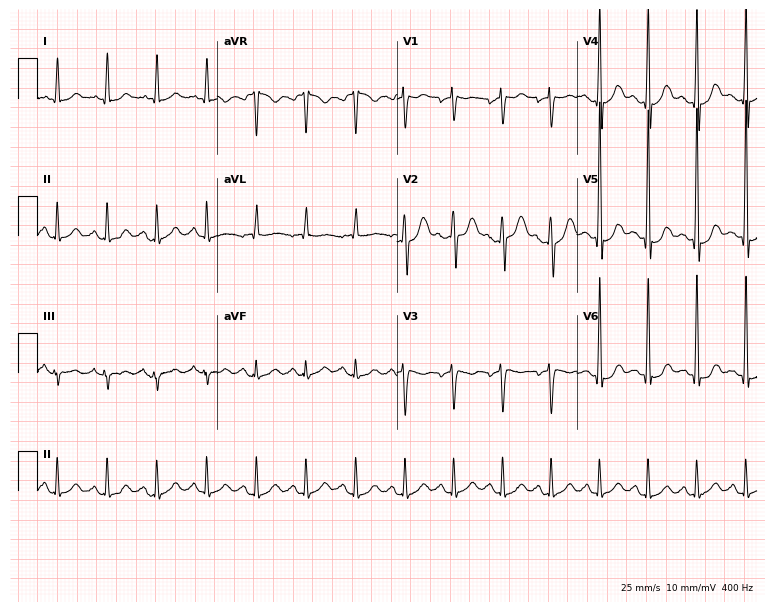
Resting 12-lead electrocardiogram. Patient: a 34-year-old male. The tracing shows sinus tachycardia (a sinus rate of 100 beats per minute or more).